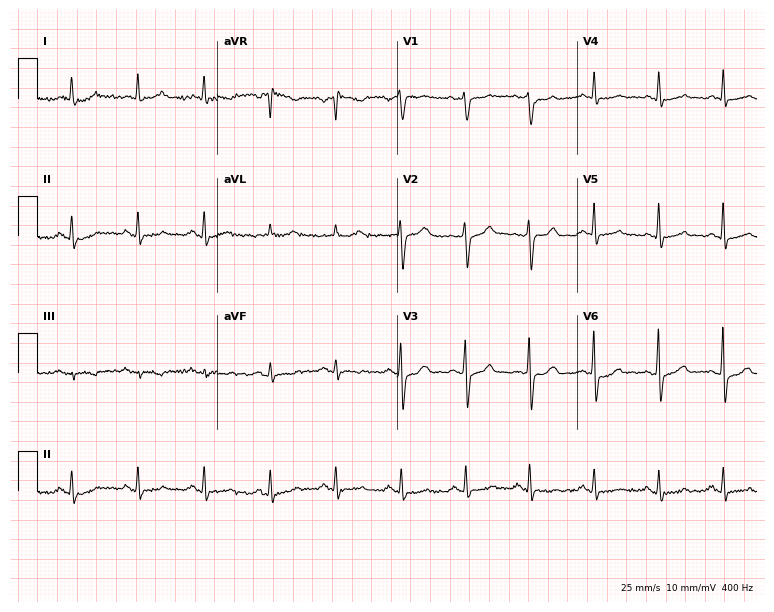
ECG (7.3-second recording at 400 Hz) — a 53-year-old man. Screened for six findings — first-degree AV block, right bundle branch block, left bundle branch block, sinus bradycardia, atrial fibrillation, sinus tachycardia — none is recorded.